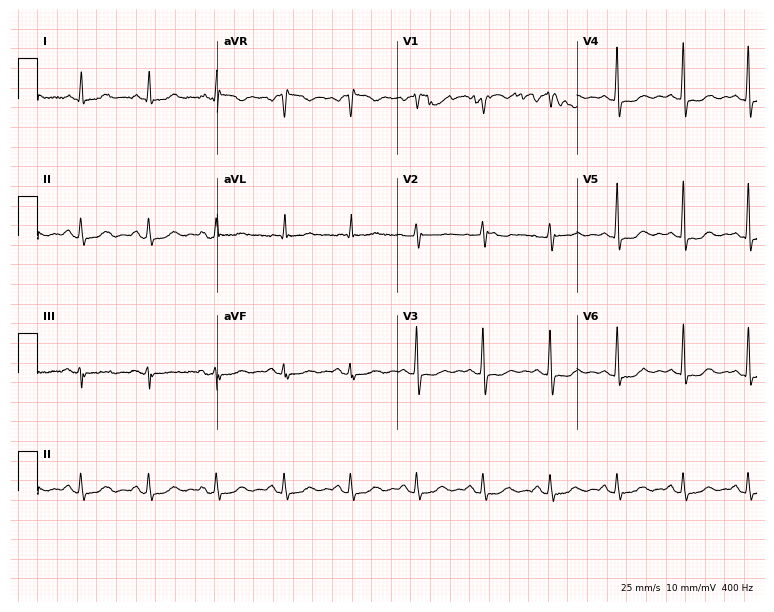
ECG (7.3-second recording at 400 Hz) — a 52-year-old female patient. Screened for six findings — first-degree AV block, right bundle branch block, left bundle branch block, sinus bradycardia, atrial fibrillation, sinus tachycardia — none is recorded.